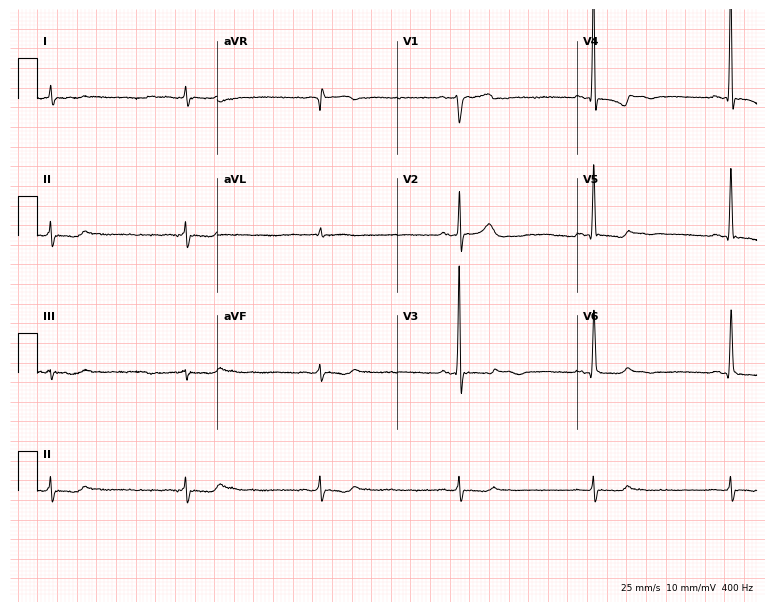
12-lead ECG from a 60-year-old male patient. Shows sinus bradycardia (a sinus rate of 50 beats per minute or less).